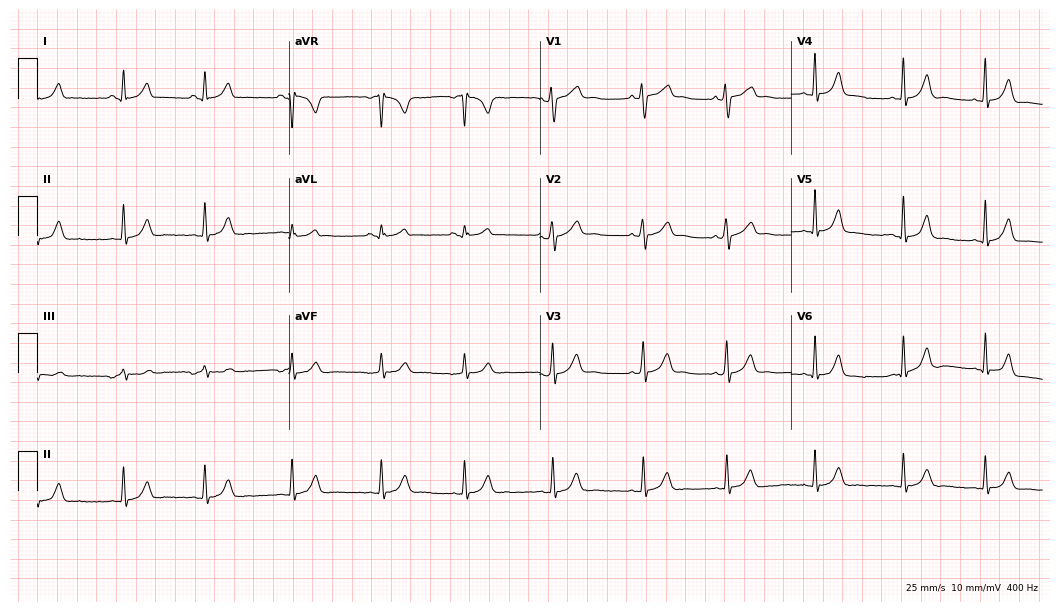
Resting 12-lead electrocardiogram (10.2-second recording at 400 Hz). Patient: a 27-year-old female. Read as a normal ECG.